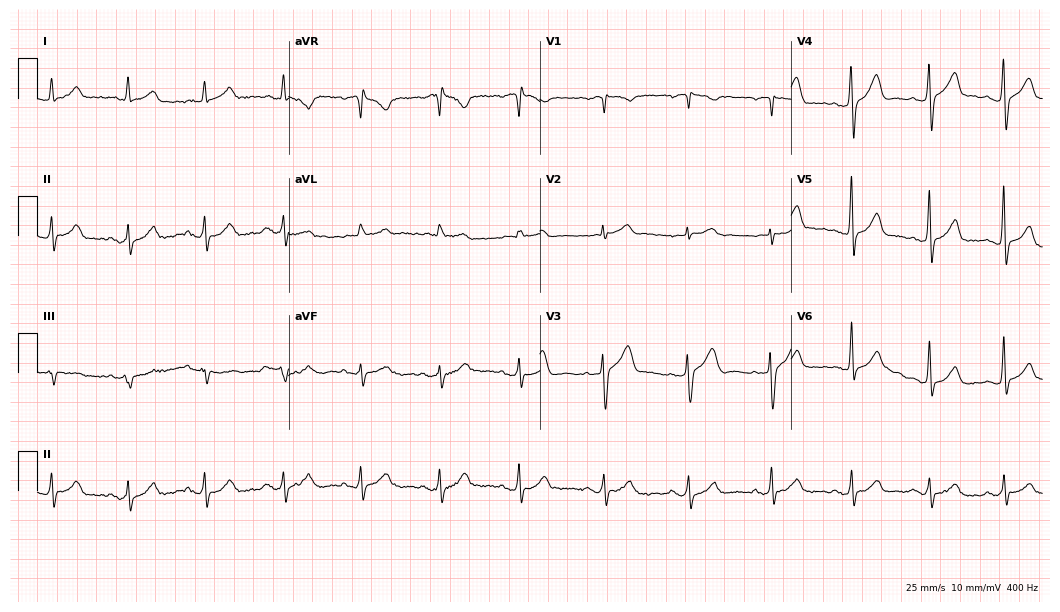
ECG — a 48-year-old man. Labelled as a normal ECG.